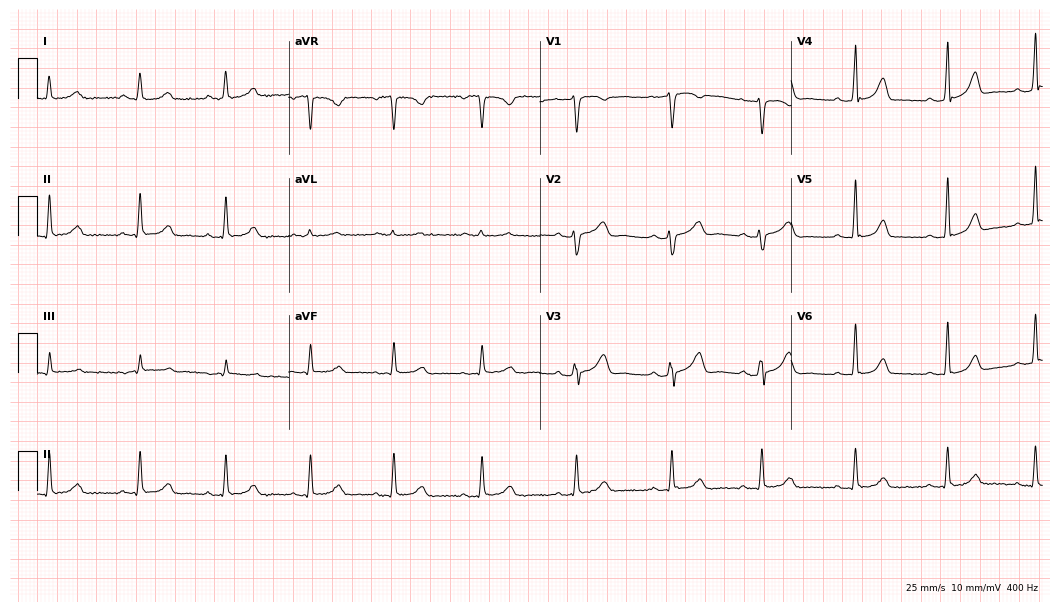
12-lead ECG from a 28-year-old female patient. Labelled as a normal ECG.